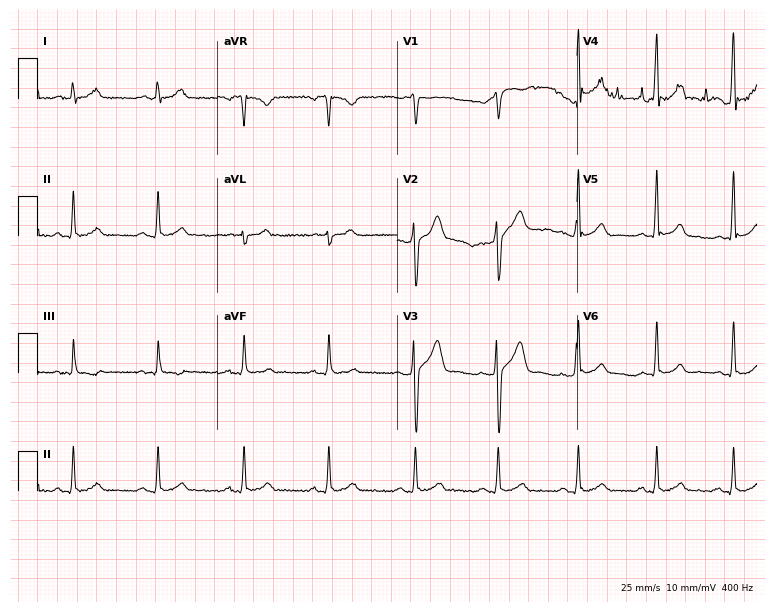
Standard 12-lead ECG recorded from a male patient, 28 years old (7.3-second recording at 400 Hz). Read as a normal ECG.